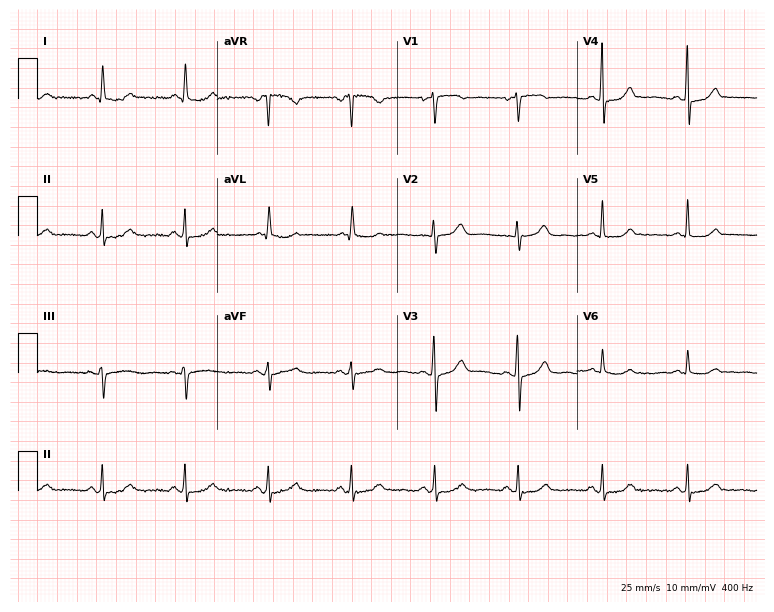
Resting 12-lead electrocardiogram. Patient: a woman, 57 years old. Read as a normal ECG.